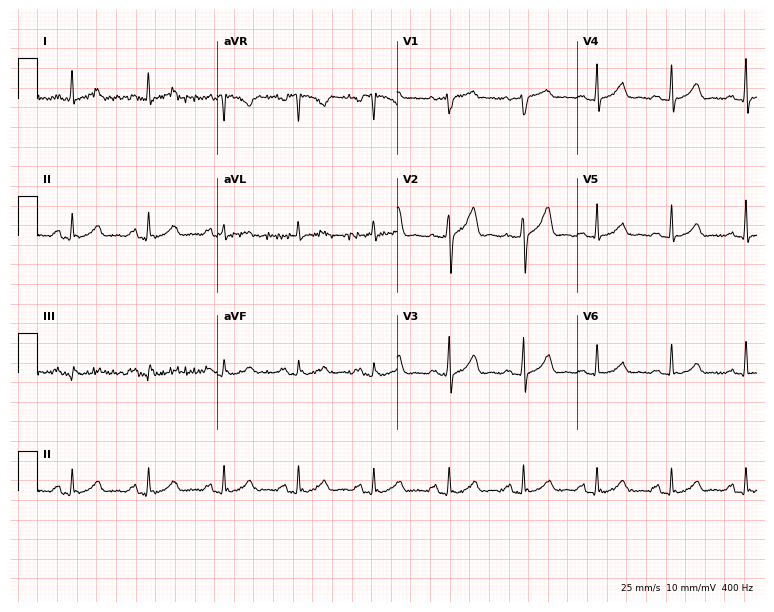
Standard 12-lead ECG recorded from a female patient, 55 years old (7.3-second recording at 400 Hz). None of these six findings is recorded: first-degree AV block, right bundle branch block, left bundle branch block, sinus bradycardia, atrial fibrillation, sinus tachycardia.